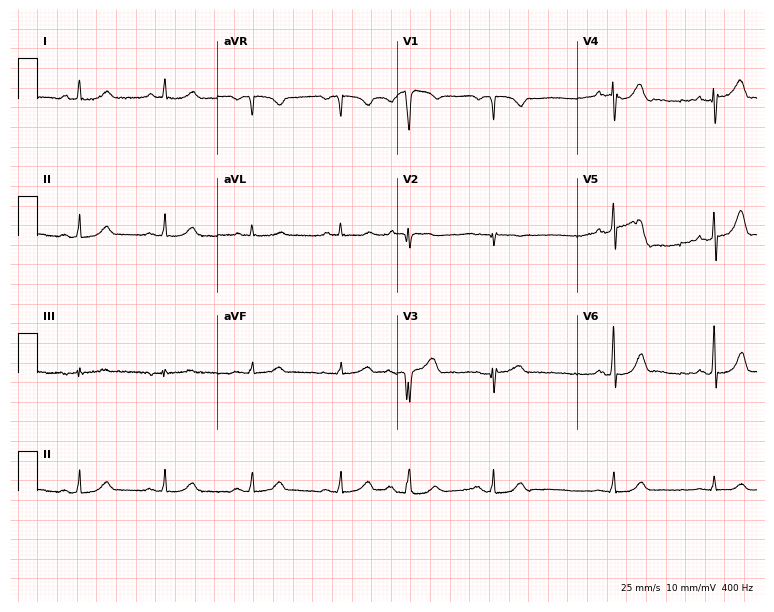
ECG (7.3-second recording at 400 Hz) — a 66-year-old male patient. Screened for six findings — first-degree AV block, right bundle branch block (RBBB), left bundle branch block (LBBB), sinus bradycardia, atrial fibrillation (AF), sinus tachycardia — none is recorded. Other findings, if any, are not listed.